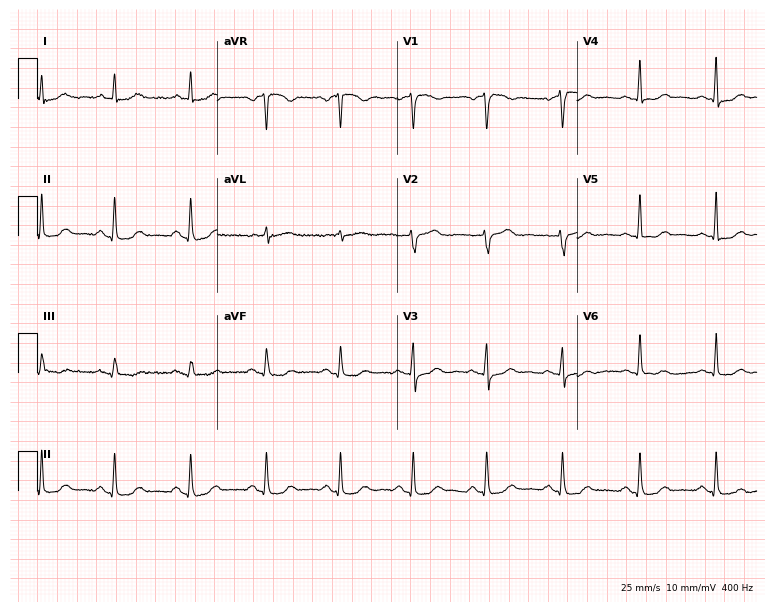
Resting 12-lead electrocardiogram. Patient: a 51-year-old woman. None of these six findings is recorded: first-degree AV block, right bundle branch block (RBBB), left bundle branch block (LBBB), sinus bradycardia, atrial fibrillation (AF), sinus tachycardia. Other findings, if any, are not listed.